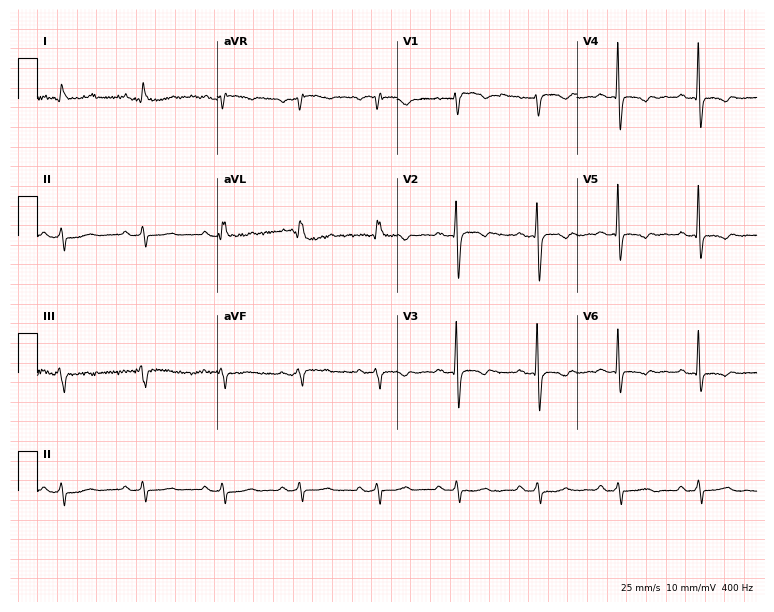
Electrocardiogram, a 61-year-old female patient. Of the six screened findings (first-degree AV block, right bundle branch block, left bundle branch block, sinus bradycardia, atrial fibrillation, sinus tachycardia), none is recorded.